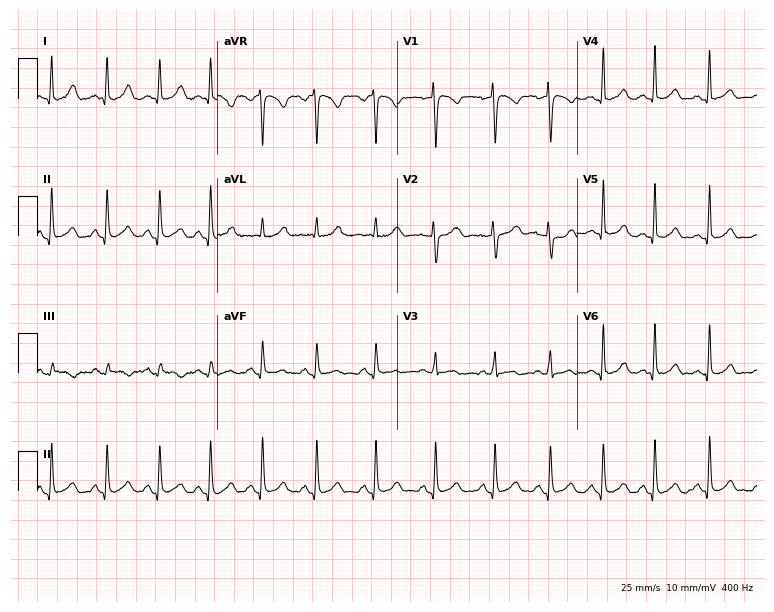
ECG — a 29-year-old female. Screened for six findings — first-degree AV block, right bundle branch block (RBBB), left bundle branch block (LBBB), sinus bradycardia, atrial fibrillation (AF), sinus tachycardia — none is recorded.